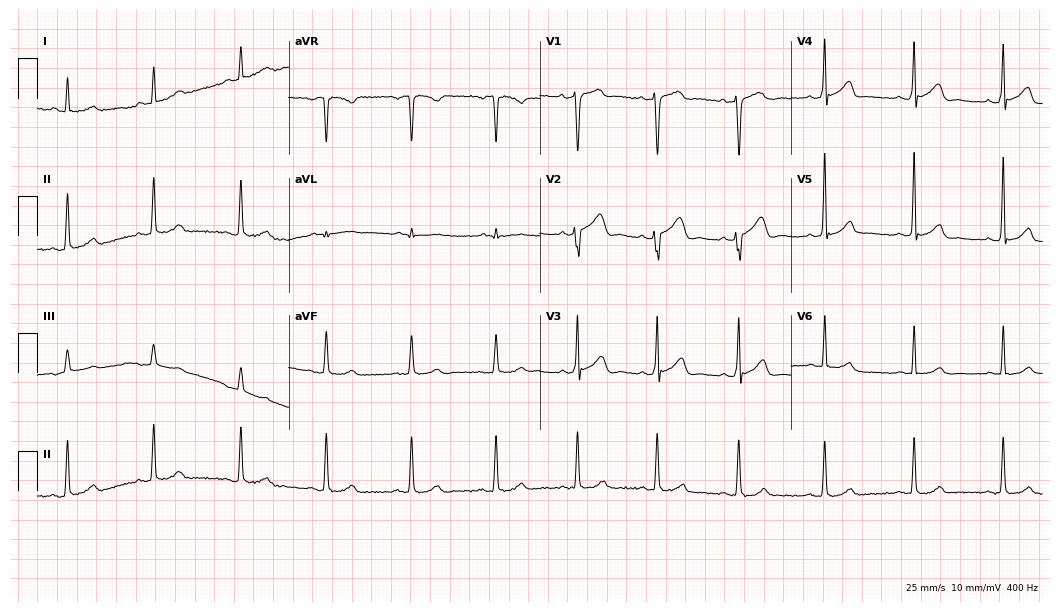
Standard 12-lead ECG recorded from a 39-year-old male (10.2-second recording at 400 Hz). Read as a normal ECG.